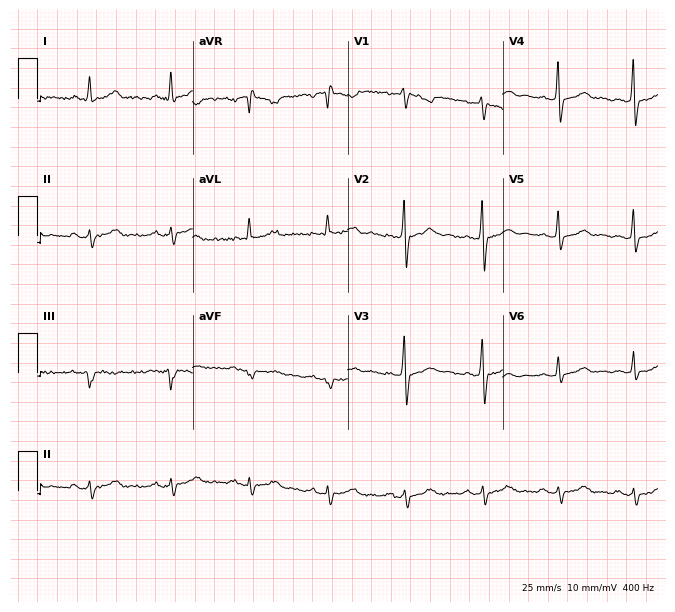
Resting 12-lead electrocardiogram. Patient: a male, 46 years old. None of these six findings is recorded: first-degree AV block, right bundle branch block, left bundle branch block, sinus bradycardia, atrial fibrillation, sinus tachycardia. Findings outside these six are not listed.